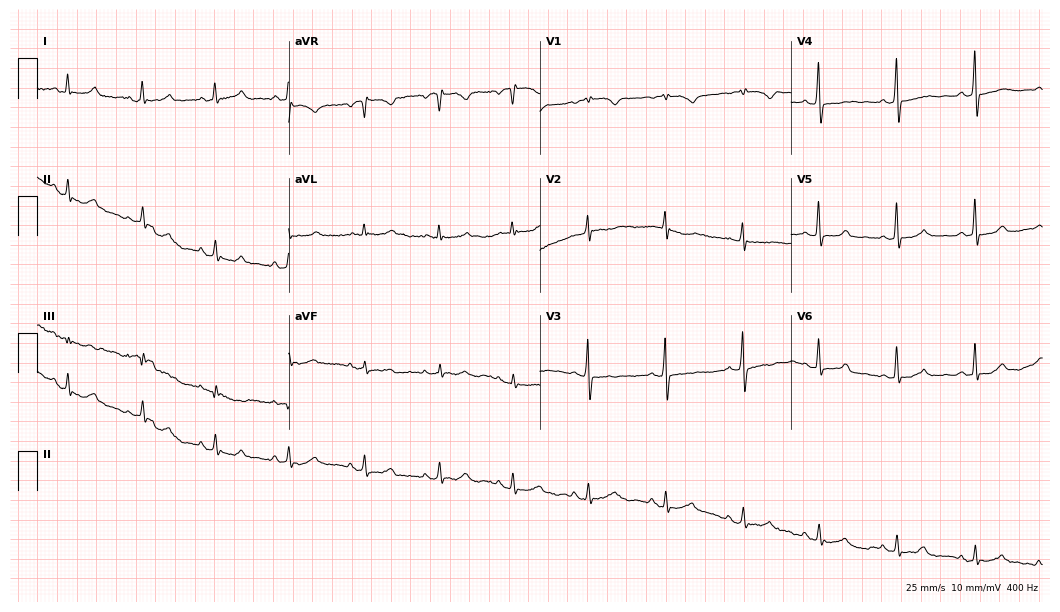
Standard 12-lead ECG recorded from a female patient, 70 years old. None of these six findings is recorded: first-degree AV block, right bundle branch block, left bundle branch block, sinus bradycardia, atrial fibrillation, sinus tachycardia. Findings outside these six are not listed.